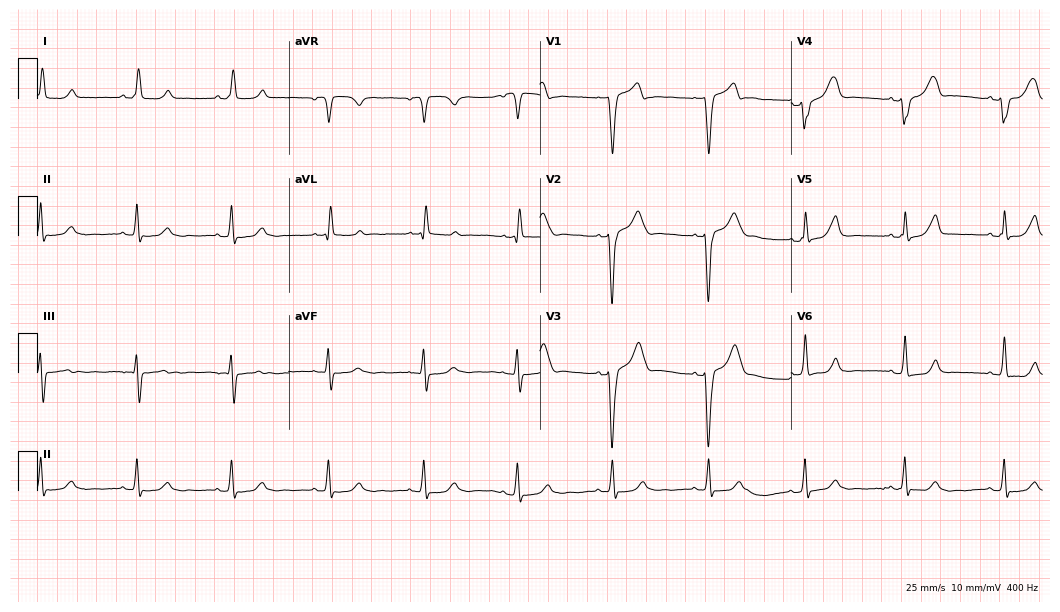
12-lead ECG from a 73-year-old male. No first-degree AV block, right bundle branch block, left bundle branch block, sinus bradycardia, atrial fibrillation or sinus tachycardia recorded for this tracing.